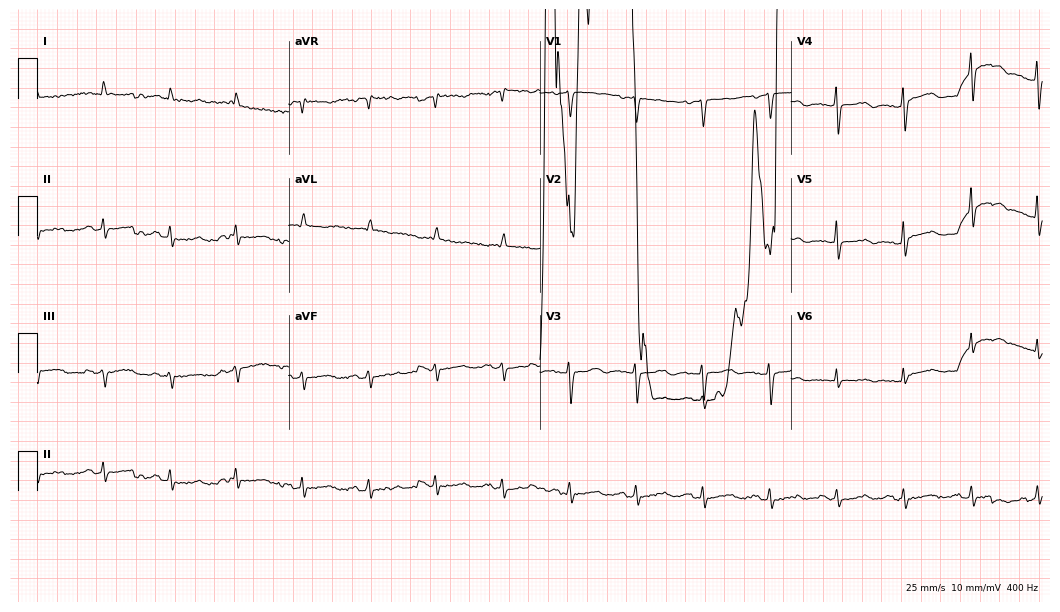
12-lead ECG from a female patient, 74 years old (10.2-second recording at 400 Hz). No first-degree AV block, right bundle branch block (RBBB), left bundle branch block (LBBB), sinus bradycardia, atrial fibrillation (AF) or sinus tachycardia recorded for this tracing. Only these six findings were labelled.